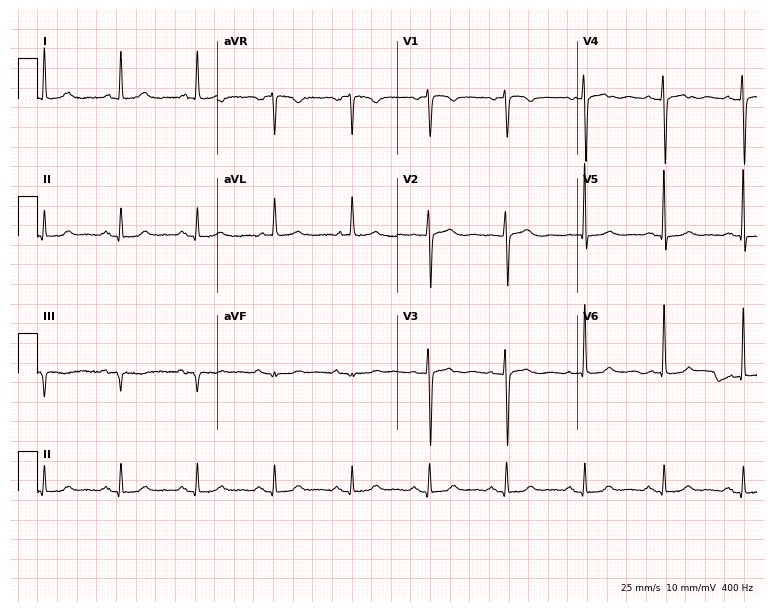
12-lead ECG from a female patient, 73 years old. Screened for six findings — first-degree AV block, right bundle branch block, left bundle branch block, sinus bradycardia, atrial fibrillation, sinus tachycardia — none is recorded.